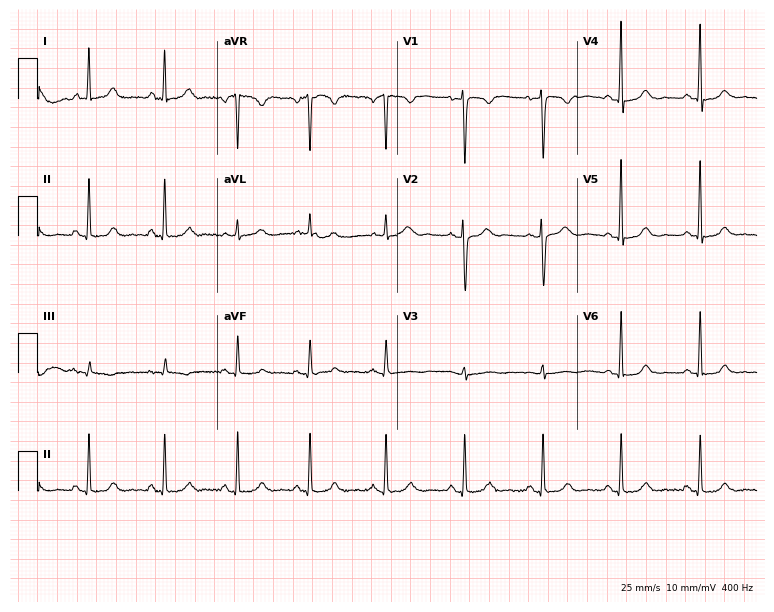
Electrocardiogram (7.3-second recording at 400 Hz), a female patient, 44 years old. Of the six screened findings (first-degree AV block, right bundle branch block, left bundle branch block, sinus bradycardia, atrial fibrillation, sinus tachycardia), none is recorded.